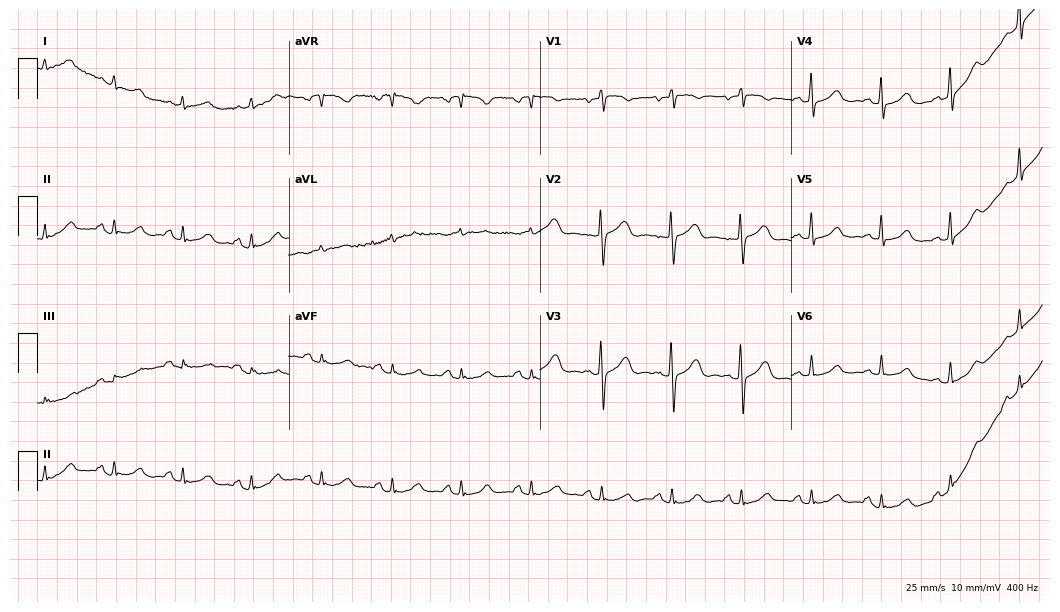
Resting 12-lead electrocardiogram. Patient: a 76-year-old woman. Read as a normal ECG.